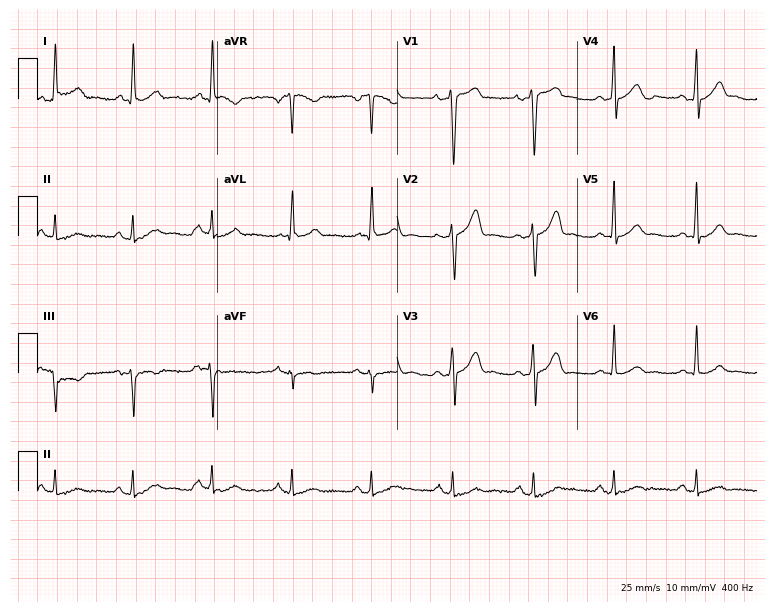
Electrocardiogram (7.3-second recording at 400 Hz), a 50-year-old male. Of the six screened findings (first-degree AV block, right bundle branch block, left bundle branch block, sinus bradycardia, atrial fibrillation, sinus tachycardia), none is recorded.